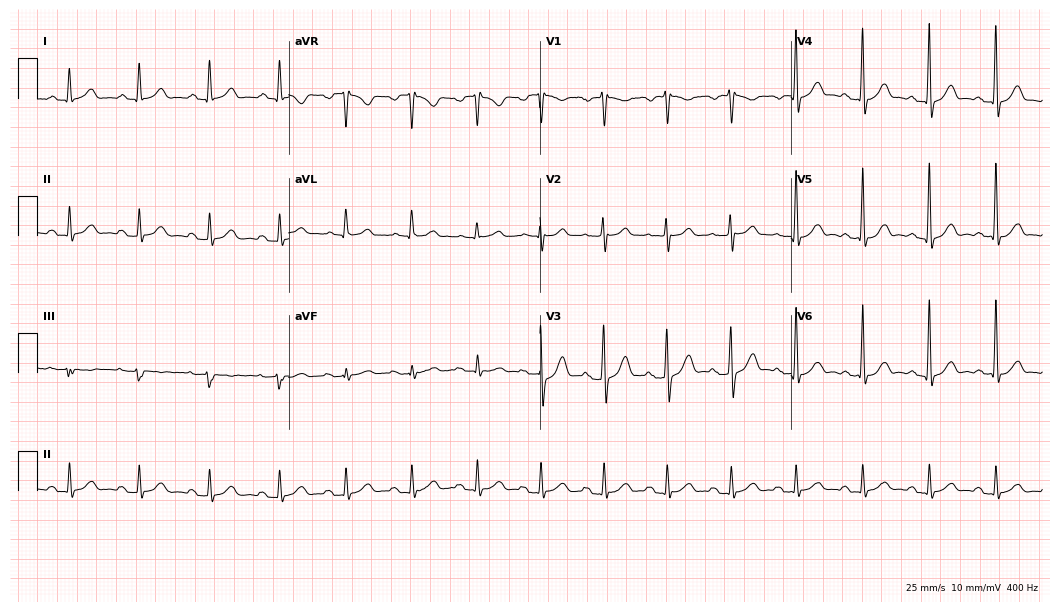
Resting 12-lead electrocardiogram. Patient: a 52-year-old male. Read as a normal ECG.